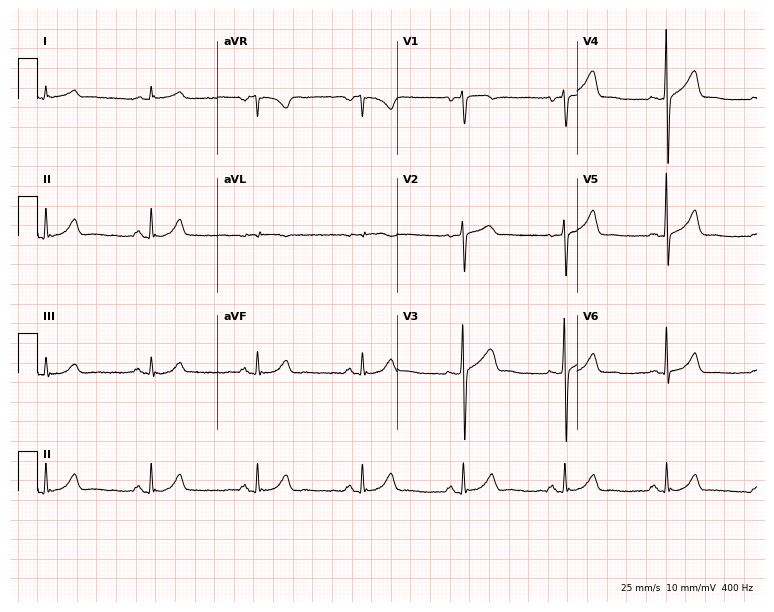
12-lead ECG from a man, 54 years old. Recorded interpretation: within normal limits.